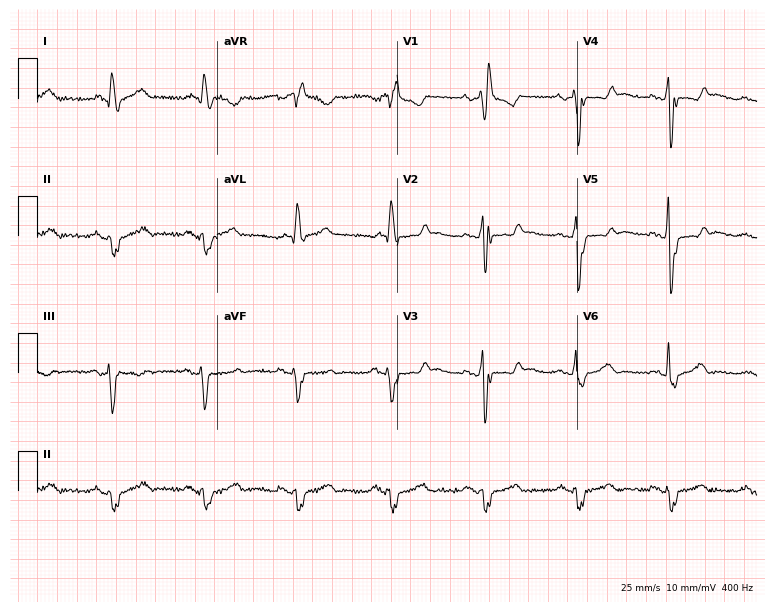
12-lead ECG from a 72-year-old male. Findings include right bundle branch block.